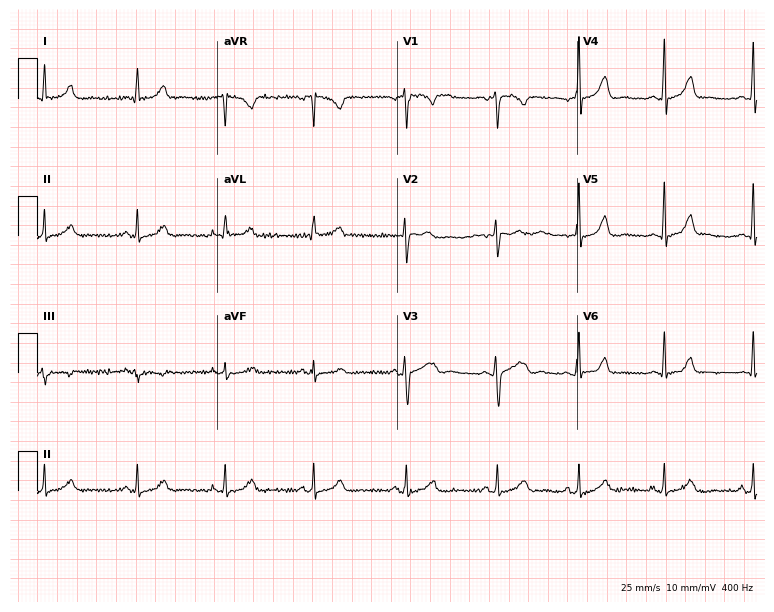
12-lead ECG from a female patient, 39 years old. No first-degree AV block, right bundle branch block, left bundle branch block, sinus bradycardia, atrial fibrillation or sinus tachycardia recorded for this tracing.